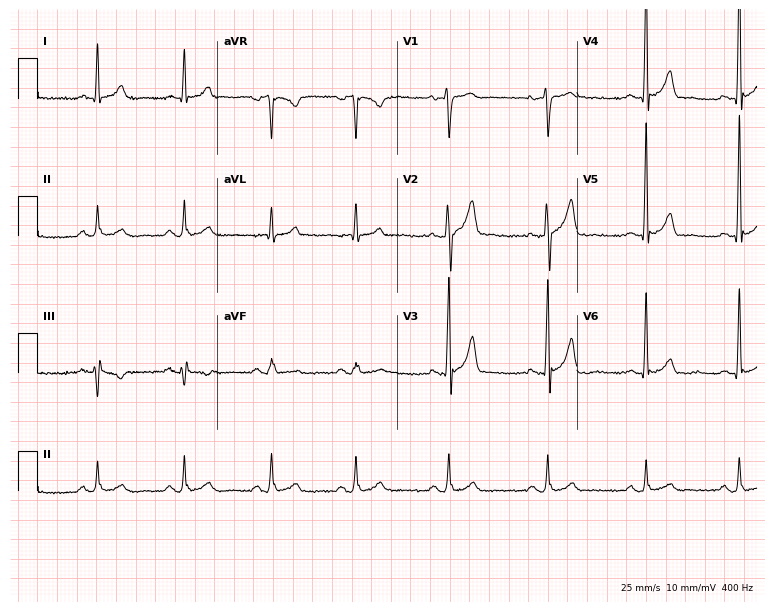
12-lead ECG from a male patient, 55 years old. Labelled as a normal ECG.